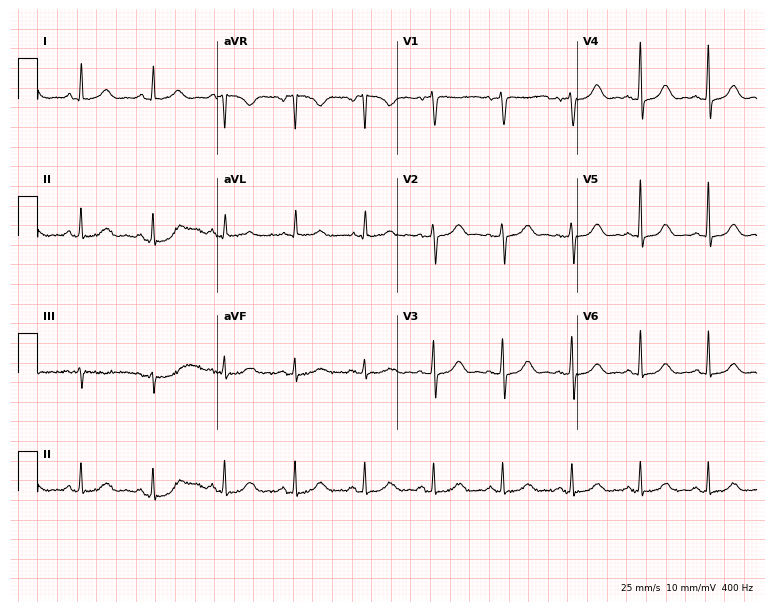
12-lead ECG from a female, 49 years old. Labelled as a normal ECG.